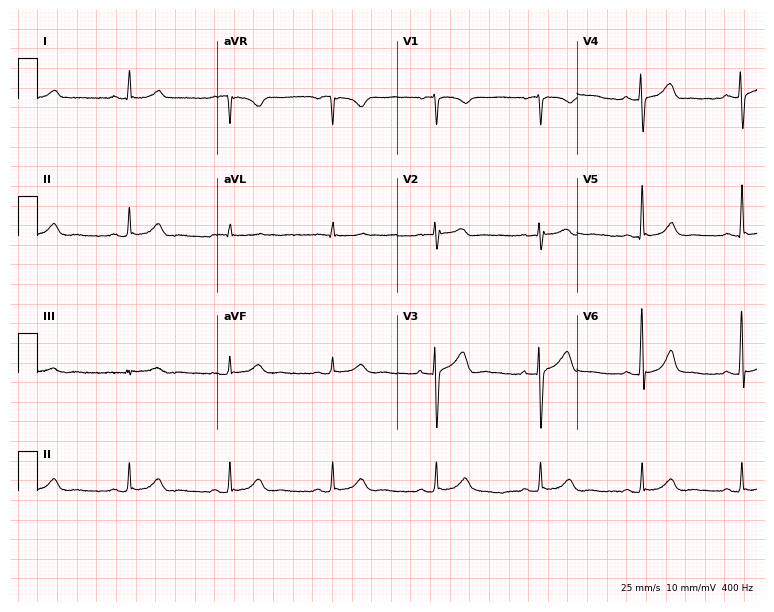
ECG (7.3-second recording at 400 Hz) — a 73-year-old man. Labelled as a normal ECG.